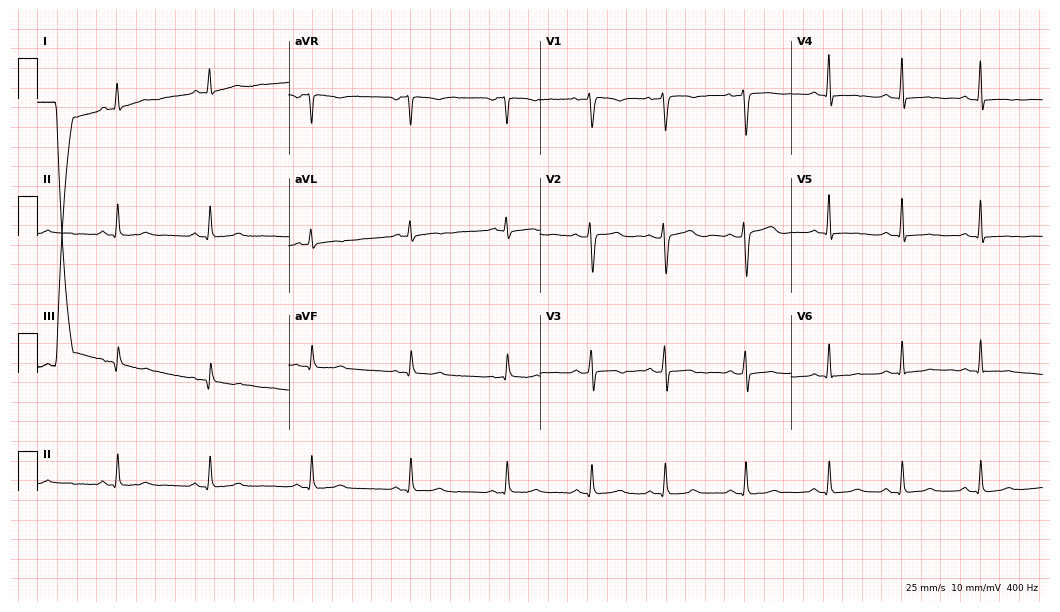
ECG — a female, 29 years old. Screened for six findings — first-degree AV block, right bundle branch block, left bundle branch block, sinus bradycardia, atrial fibrillation, sinus tachycardia — none is recorded. Findings outside these six are not listed.